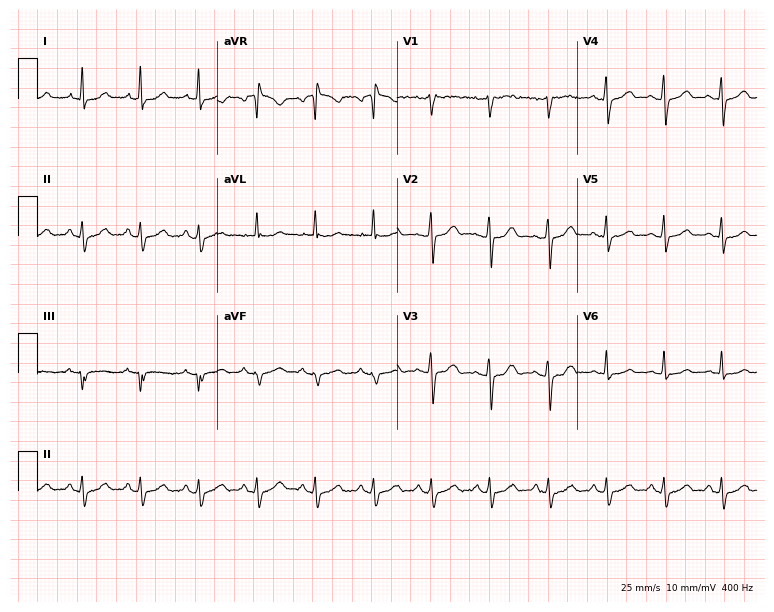
Resting 12-lead electrocardiogram (7.3-second recording at 400 Hz). Patient: a female, 46 years old. None of these six findings is recorded: first-degree AV block, right bundle branch block (RBBB), left bundle branch block (LBBB), sinus bradycardia, atrial fibrillation (AF), sinus tachycardia.